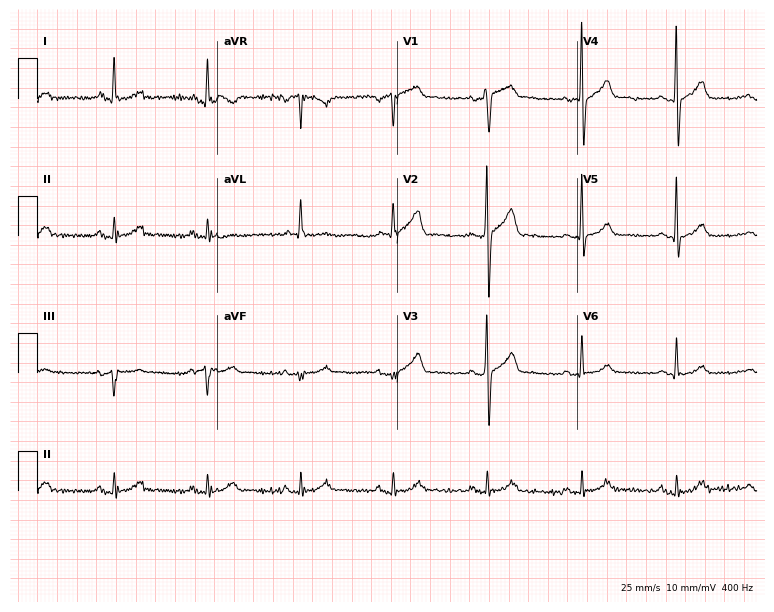
12-lead ECG from a man, 76 years old (7.3-second recording at 400 Hz). Recorded interpretation: within normal limits.